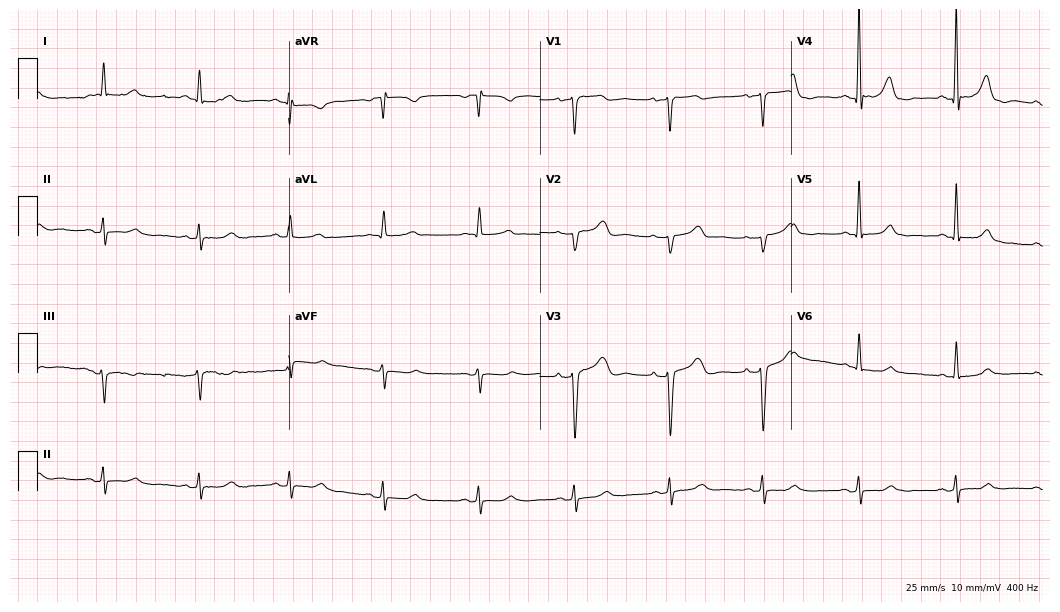
12-lead ECG from a 76-year-old female patient (10.2-second recording at 400 Hz). No first-degree AV block, right bundle branch block (RBBB), left bundle branch block (LBBB), sinus bradycardia, atrial fibrillation (AF) or sinus tachycardia recorded for this tracing.